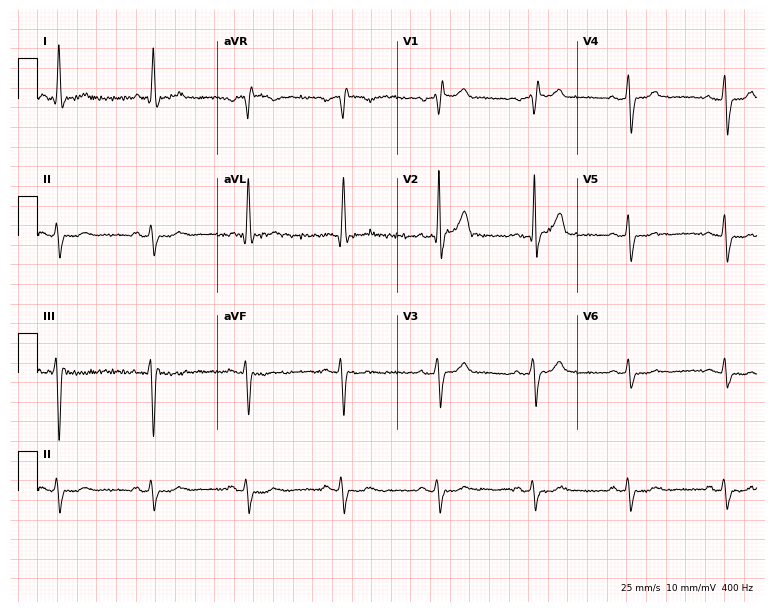
12-lead ECG from a male, 81 years old. Findings include right bundle branch block.